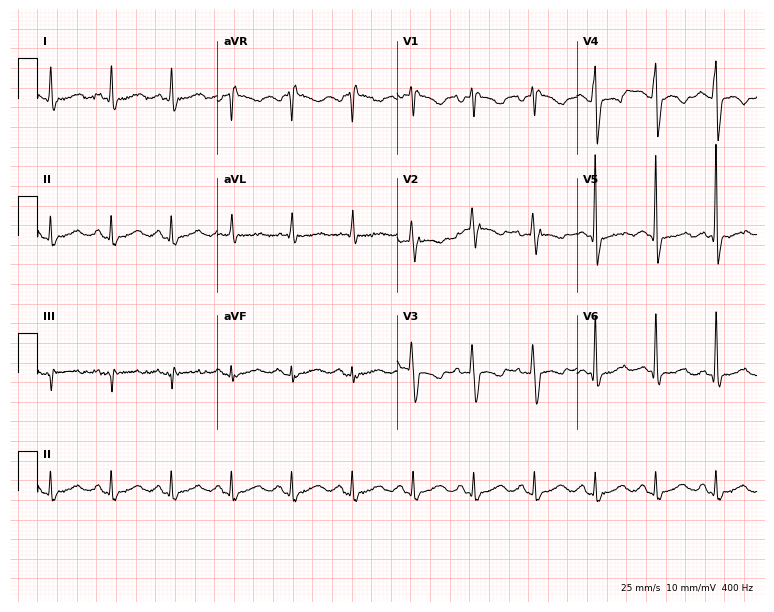
Standard 12-lead ECG recorded from a 51-year-old female patient. None of these six findings is recorded: first-degree AV block, right bundle branch block, left bundle branch block, sinus bradycardia, atrial fibrillation, sinus tachycardia. Only these six findings were labelled.